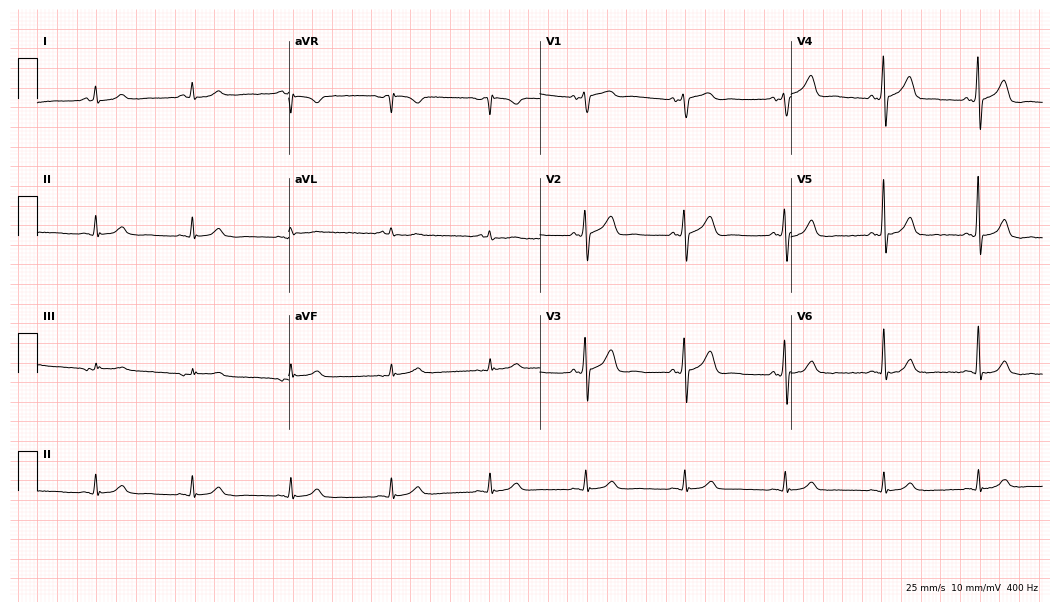
Electrocardiogram (10.2-second recording at 400 Hz), an 80-year-old man. Overall reading on record: normal ECG.